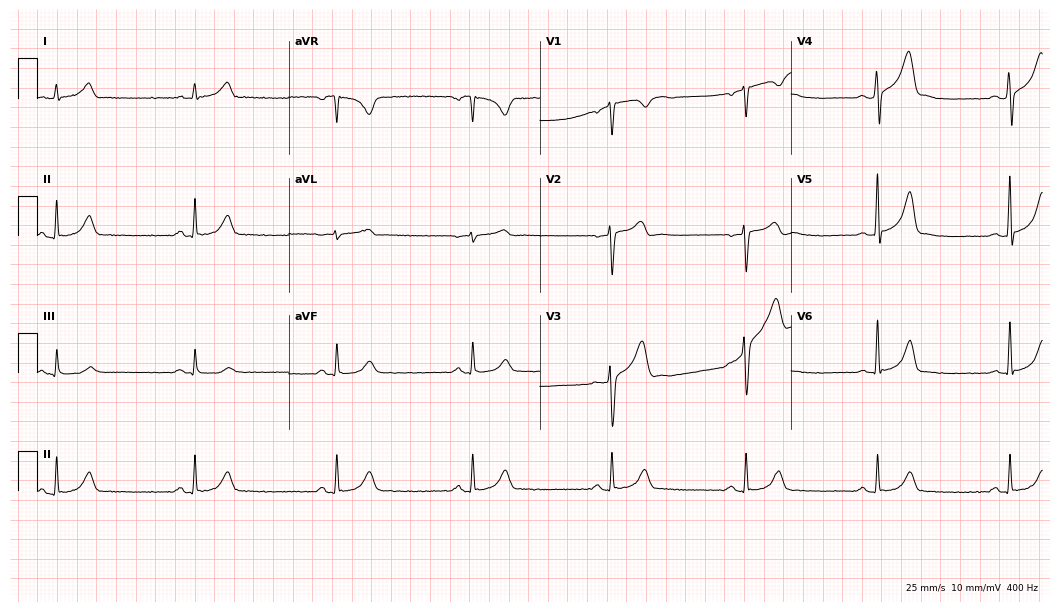
12-lead ECG from a male patient, 49 years old (10.2-second recording at 400 Hz). Shows sinus bradycardia (a sinus rate of 50 beats per minute or less).